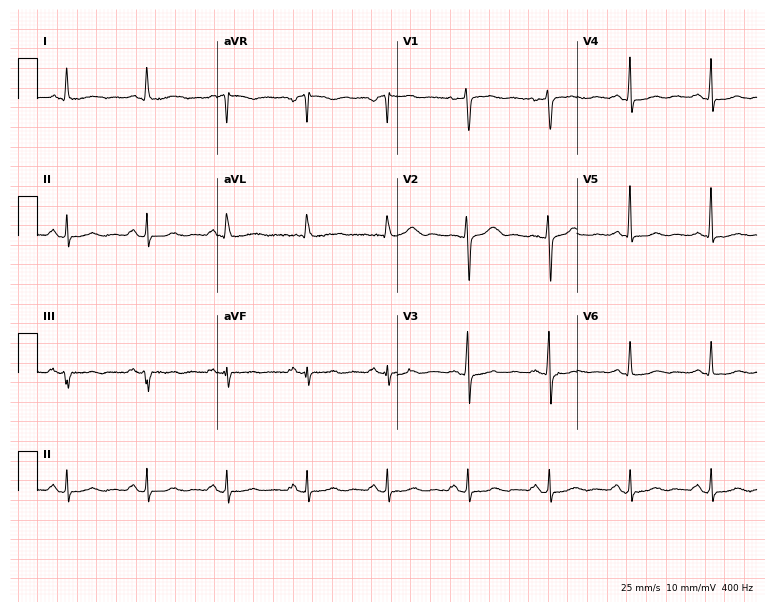
12-lead ECG from a 70-year-old female. Screened for six findings — first-degree AV block, right bundle branch block, left bundle branch block, sinus bradycardia, atrial fibrillation, sinus tachycardia — none is recorded.